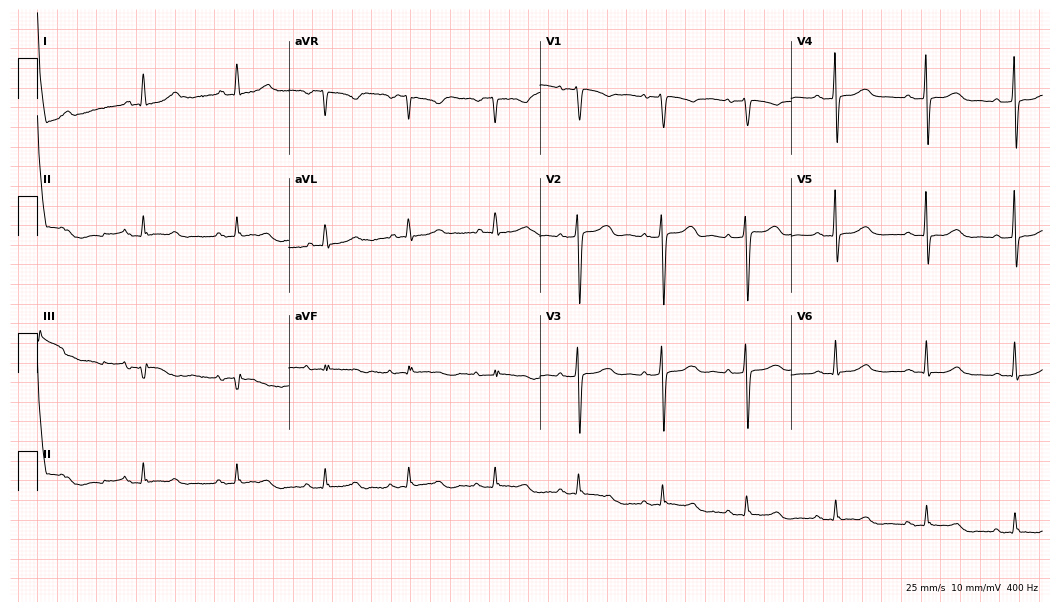
Electrocardiogram (10.2-second recording at 400 Hz), a female, 78 years old. Overall reading on record: normal ECG.